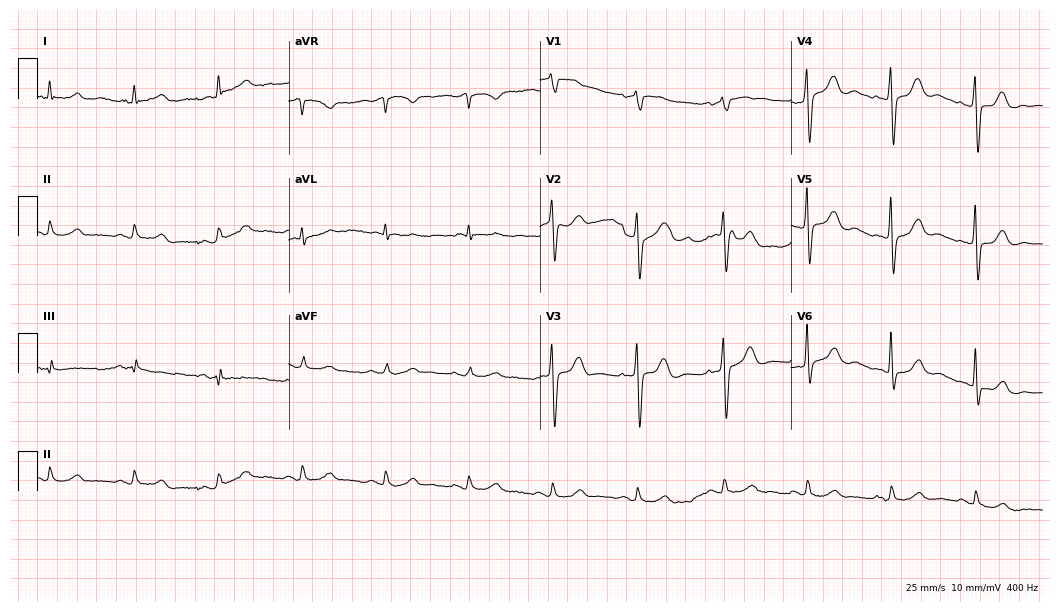
ECG — a man, 84 years old. Labelled as a normal ECG.